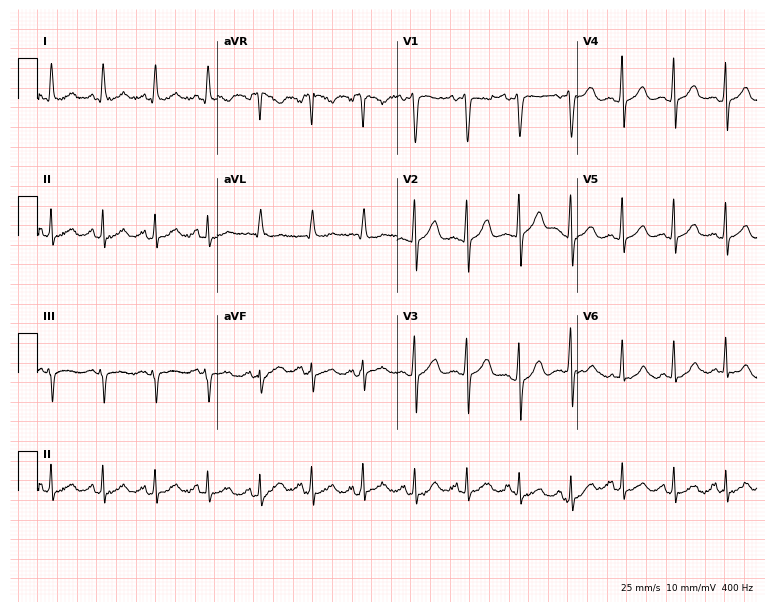
Electrocardiogram (7.3-second recording at 400 Hz), a 31-year-old female. Interpretation includes sinus tachycardia (a sinus rate of 100 beats per minute or more).